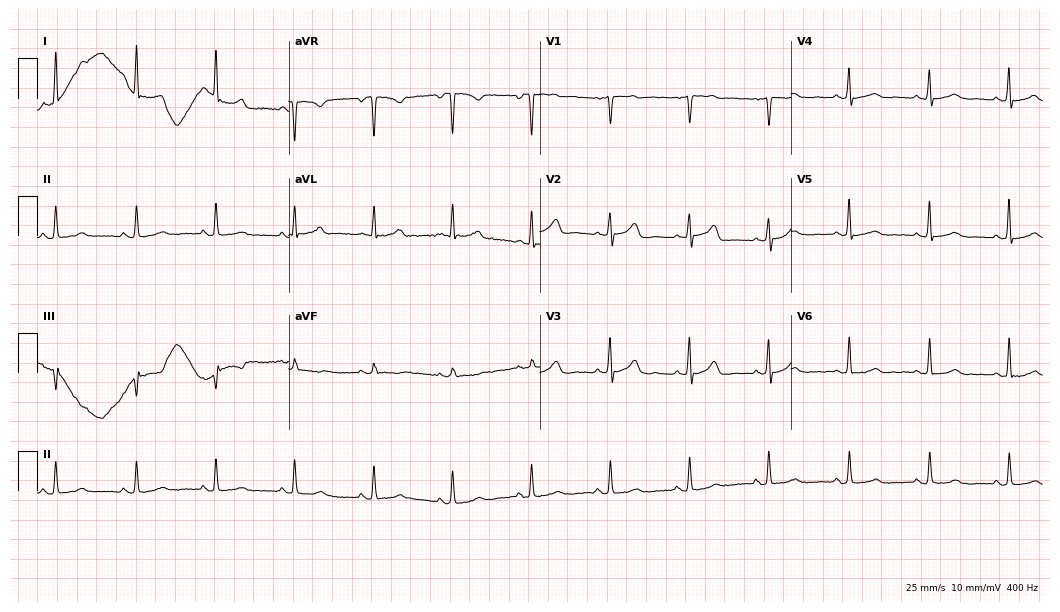
Resting 12-lead electrocardiogram (10.2-second recording at 400 Hz). Patient: a 57-year-old female. Read as a normal ECG.